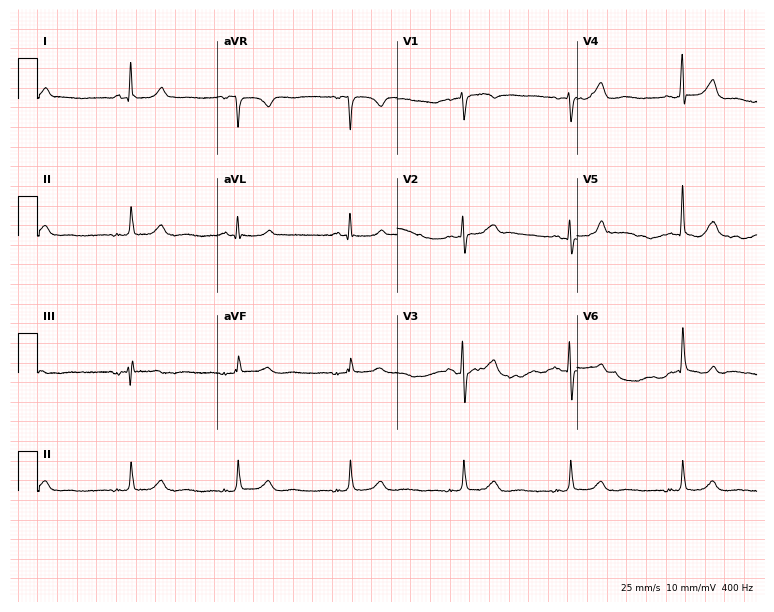
Standard 12-lead ECG recorded from a female patient, 60 years old. None of these six findings is recorded: first-degree AV block, right bundle branch block, left bundle branch block, sinus bradycardia, atrial fibrillation, sinus tachycardia. Only these six findings were labelled.